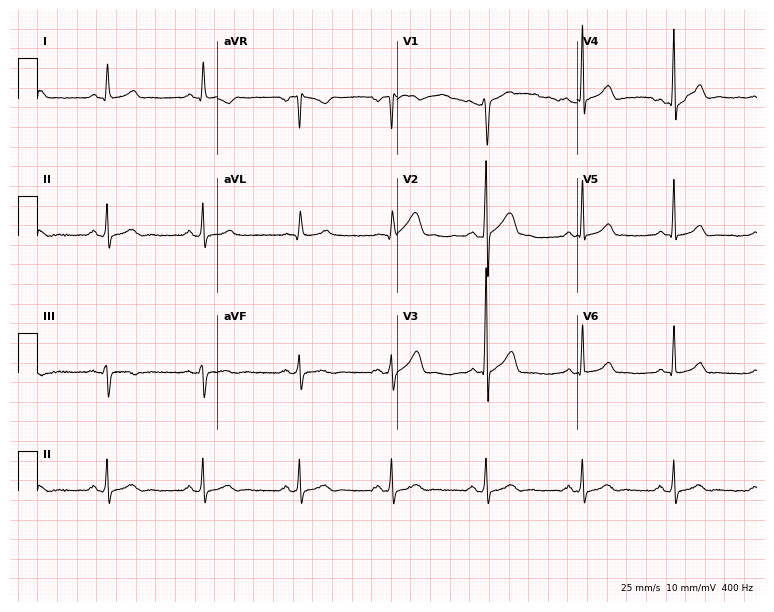
ECG (7.3-second recording at 400 Hz) — a 45-year-old male. Screened for six findings — first-degree AV block, right bundle branch block (RBBB), left bundle branch block (LBBB), sinus bradycardia, atrial fibrillation (AF), sinus tachycardia — none is recorded. Findings outside these six are not listed.